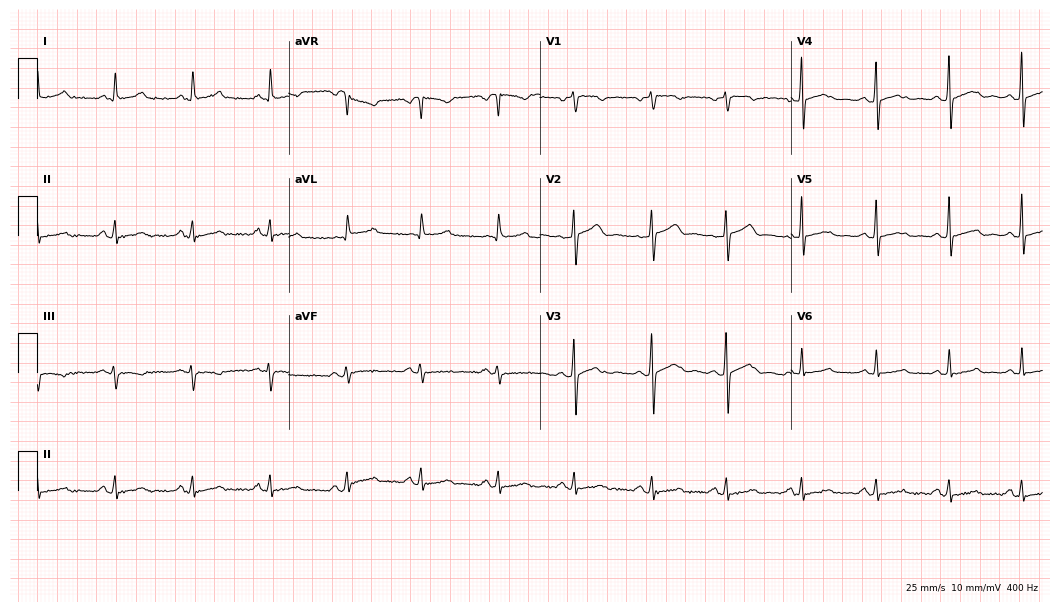
12-lead ECG (10.2-second recording at 400 Hz) from a female patient, 45 years old. Labelled as a normal ECG.